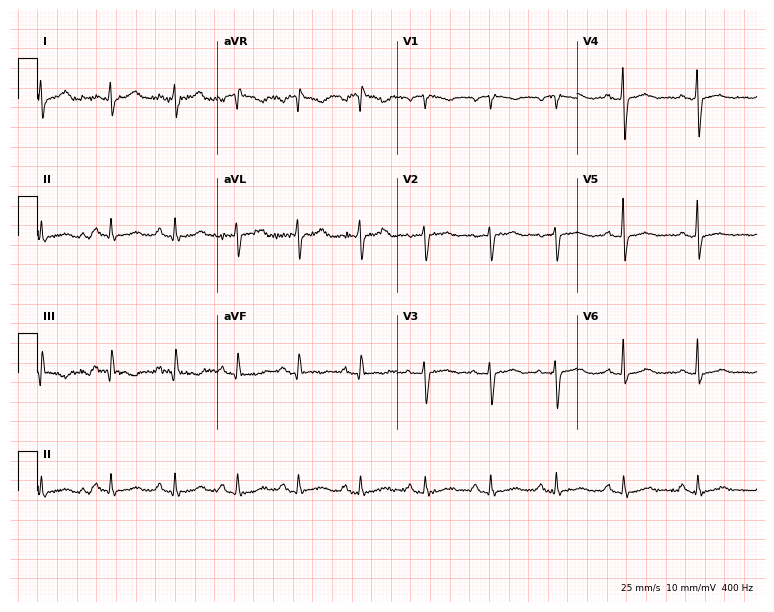
Electrocardiogram, a 41-year-old female patient. Of the six screened findings (first-degree AV block, right bundle branch block (RBBB), left bundle branch block (LBBB), sinus bradycardia, atrial fibrillation (AF), sinus tachycardia), none is recorded.